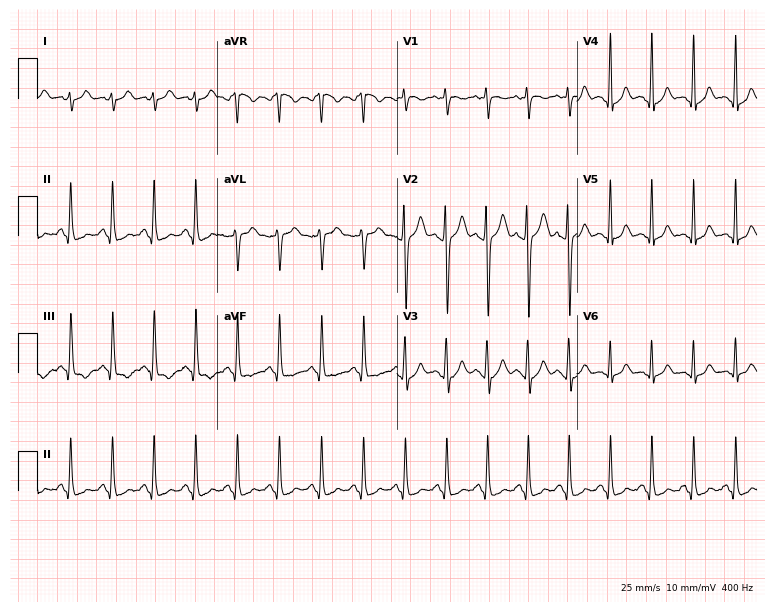
Electrocardiogram (7.3-second recording at 400 Hz), a woman, 23 years old. Interpretation includes sinus tachycardia (a sinus rate of 100 beats per minute or more).